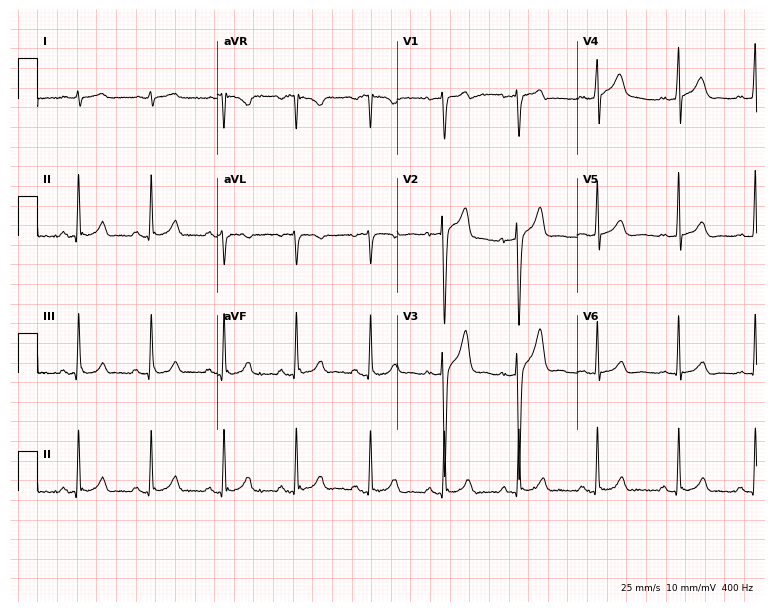
Electrocardiogram (7.3-second recording at 400 Hz), a 28-year-old male. Overall reading on record: normal ECG.